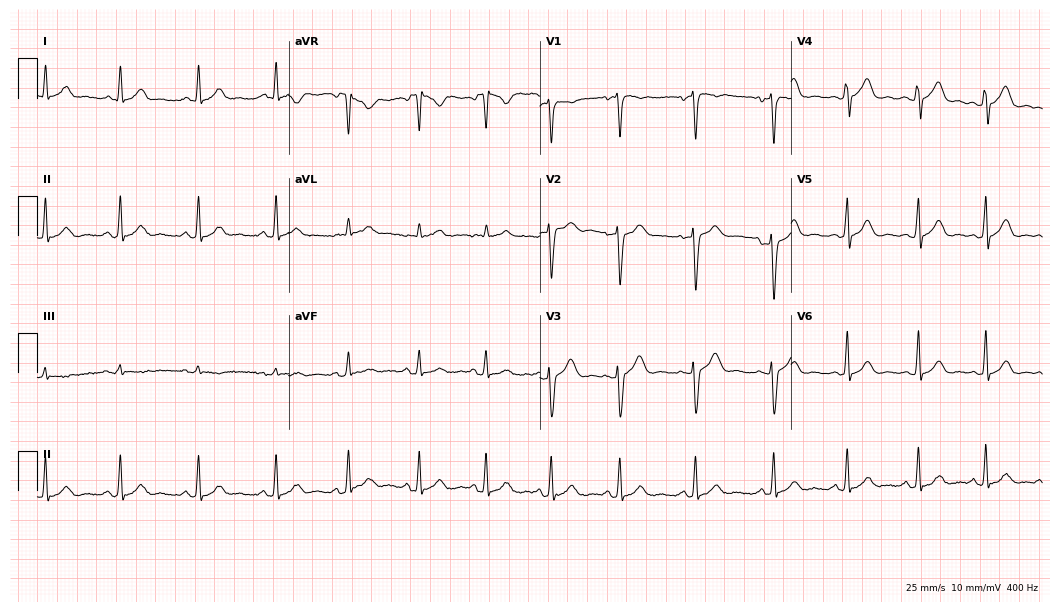
Standard 12-lead ECG recorded from a woman, 33 years old. Read as a normal ECG.